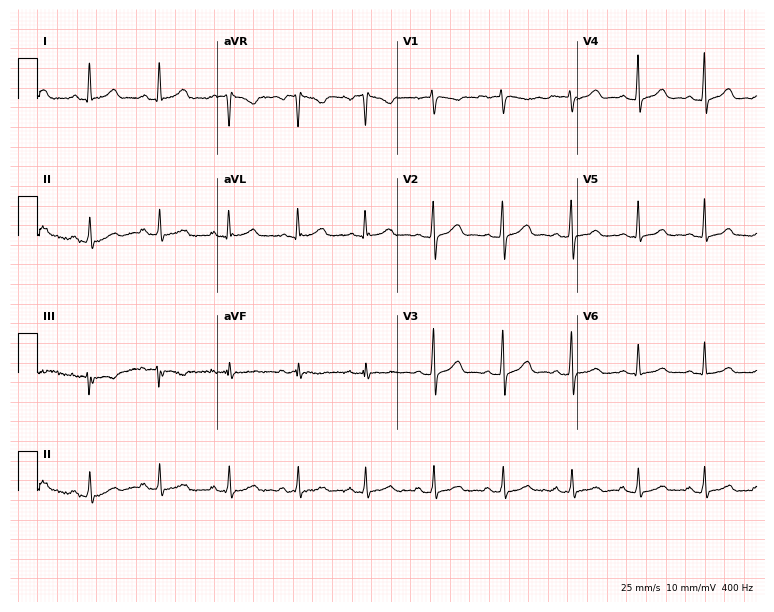
12-lead ECG from a woman, 40 years old. No first-degree AV block, right bundle branch block, left bundle branch block, sinus bradycardia, atrial fibrillation or sinus tachycardia recorded for this tracing.